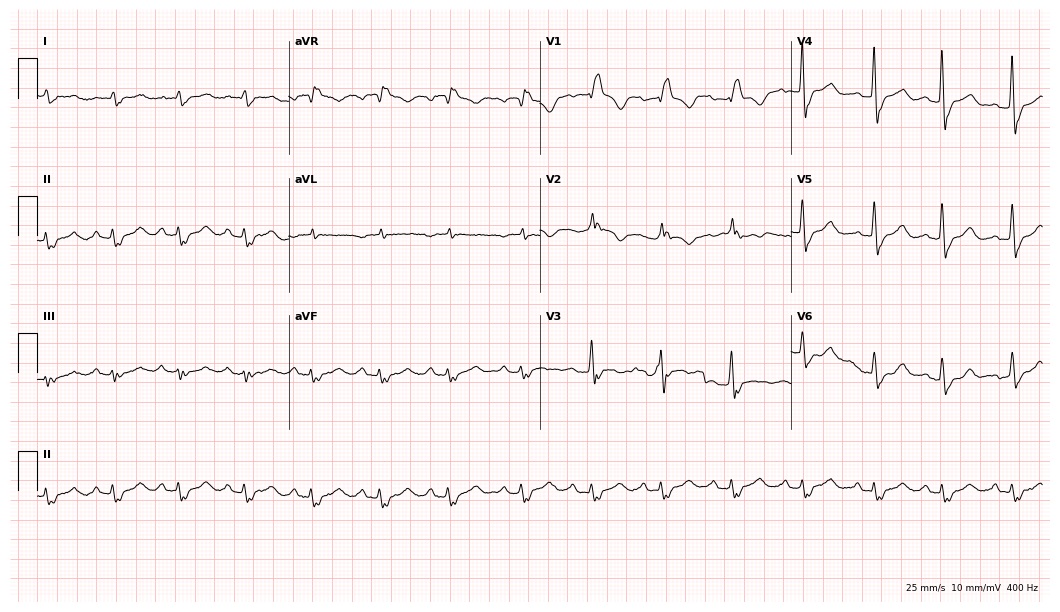
12-lead ECG from a female, 31 years old (10.2-second recording at 400 Hz). No first-degree AV block, right bundle branch block, left bundle branch block, sinus bradycardia, atrial fibrillation or sinus tachycardia recorded for this tracing. Findings outside these six are not listed.